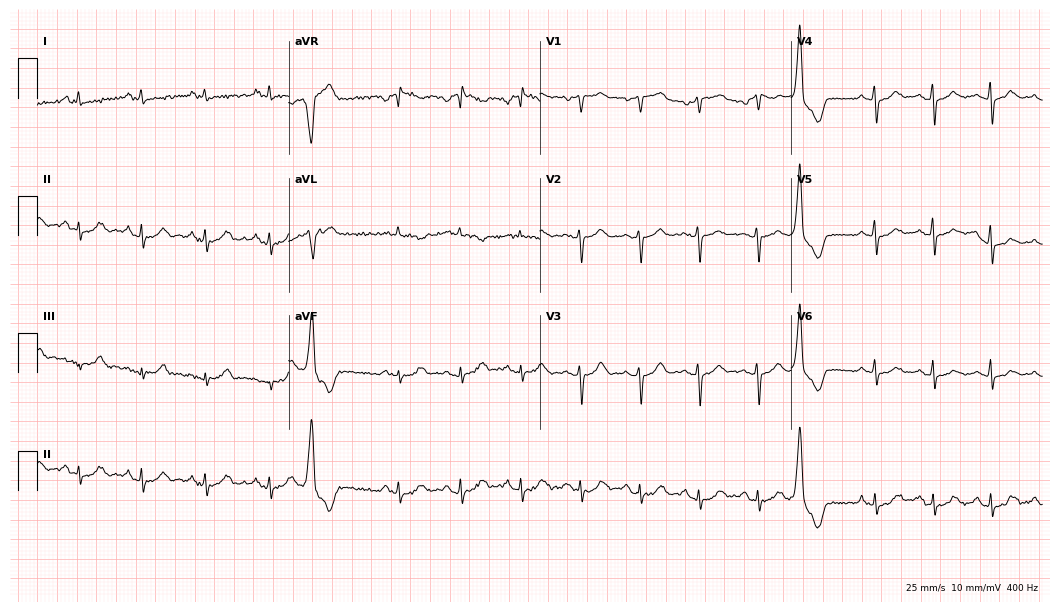
Standard 12-lead ECG recorded from a 73-year-old female patient. None of these six findings is recorded: first-degree AV block, right bundle branch block (RBBB), left bundle branch block (LBBB), sinus bradycardia, atrial fibrillation (AF), sinus tachycardia. Findings outside these six are not listed.